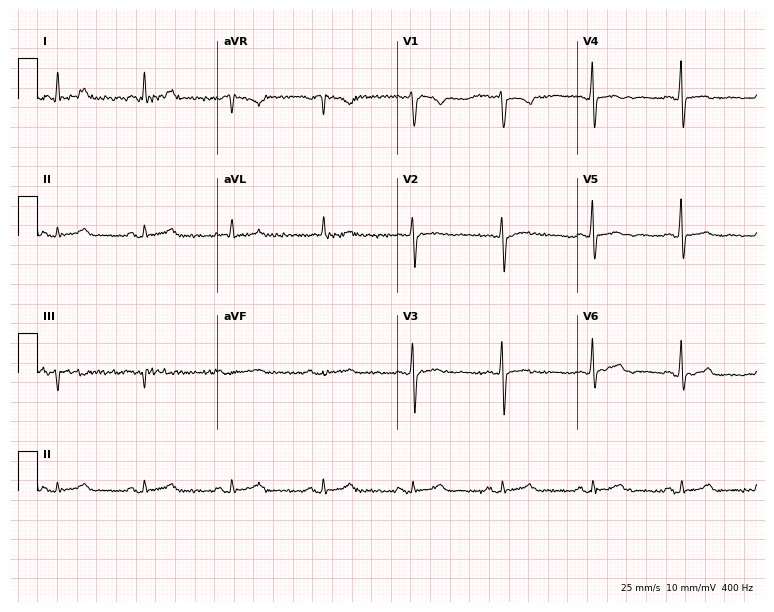
Resting 12-lead electrocardiogram. Patient: a female, 64 years old. Read as a normal ECG.